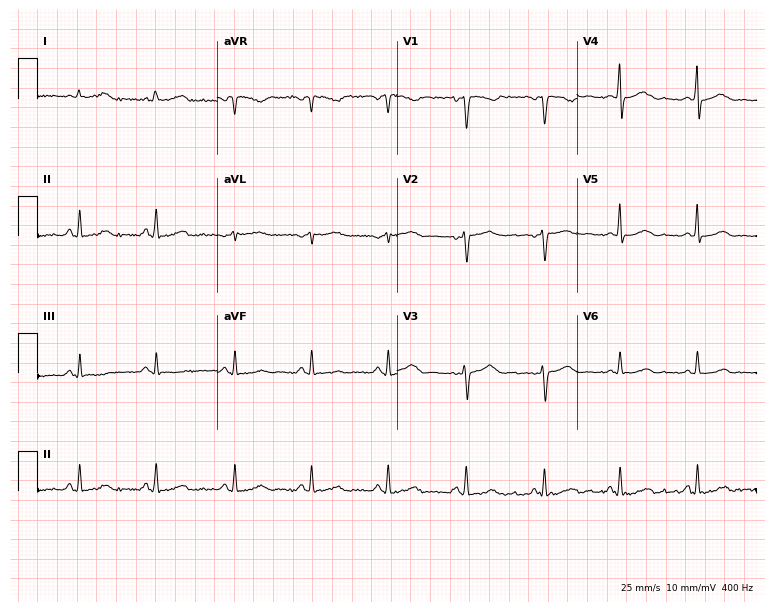
Standard 12-lead ECG recorded from a female, 34 years old (7.3-second recording at 400 Hz). None of these six findings is recorded: first-degree AV block, right bundle branch block, left bundle branch block, sinus bradycardia, atrial fibrillation, sinus tachycardia.